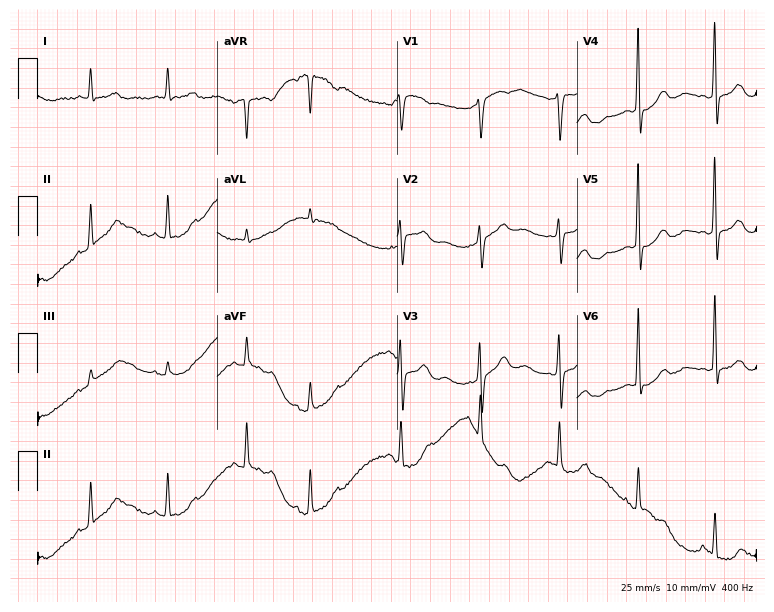
ECG (7.3-second recording at 400 Hz) — a female, 82 years old. Screened for six findings — first-degree AV block, right bundle branch block, left bundle branch block, sinus bradycardia, atrial fibrillation, sinus tachycardia — none is recorded.